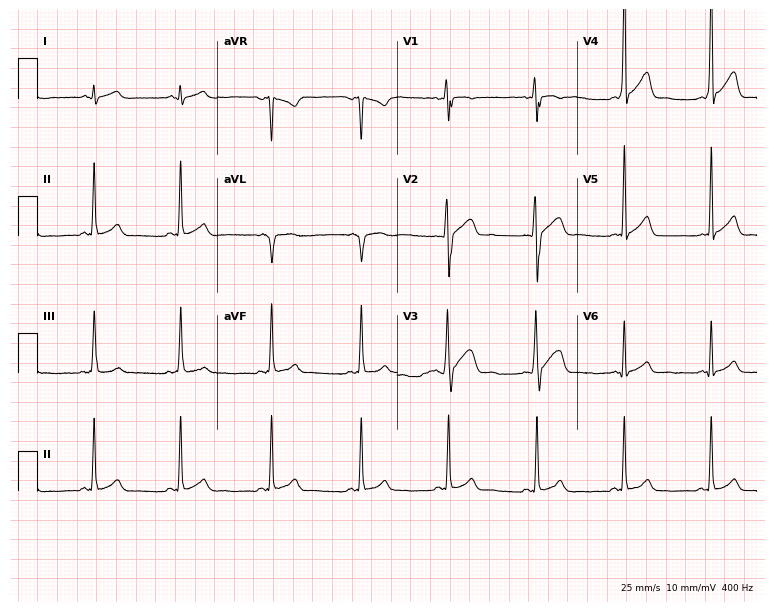
Electrocardiogram, a 25-year-old male. Of the six screened findings (first-degree AV block, right bundle branch block, left bundle branch block, sinus bradycardia, atrial fibrillation, sinus tachycardia), none is recorded. Findings outside these six are not listed.